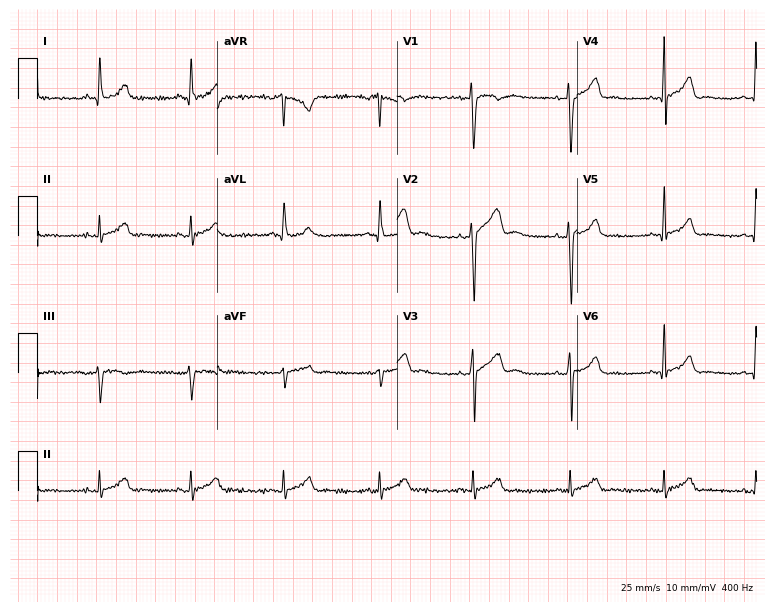
Resting 12-lead electrocardiogram (7.3-second recording at 400 Hz). Patient: a male, 39 years old. None of these six findings is recorded: first-degree AV block, right bundle branch block, left bundle branch block, sinus bradycardia, atrial fibrillation, sinus tachycardia.